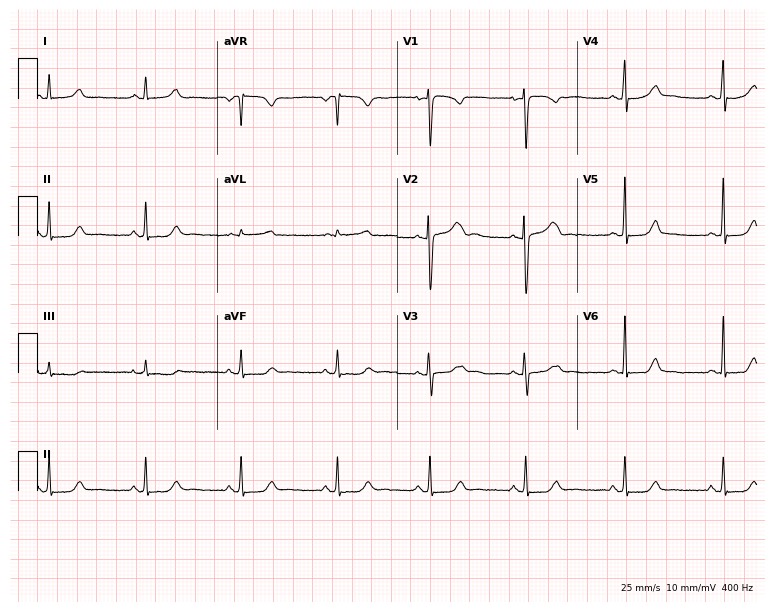
ECG — a 21-year-old woman. Labelled as a normal ECG.